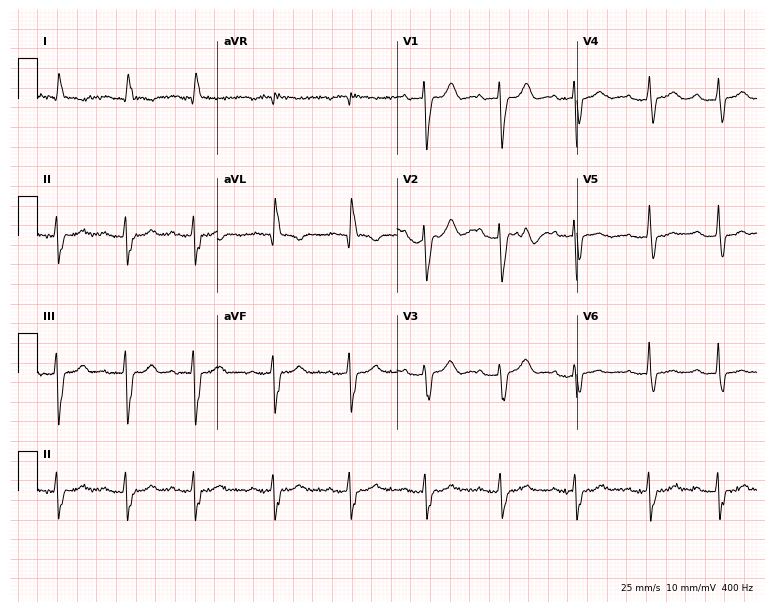
12-lead ECG from a female patient, 70 years old. Screened for six findings — first-degree AV block, right bundle branch block, left bundle branch block, sinus bradycardia, atrial fibrillation, sinus tachycardia — none is recorded. Only these six findings were labelled.